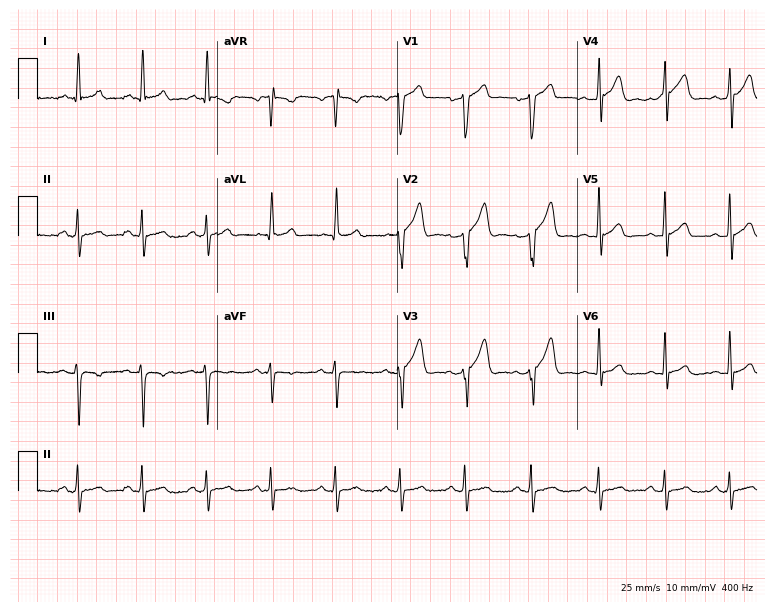
Resting 12-lead electrocardiogram (7.3-second recording at 400 Hz). Patient: a 48-year-old male. None of these six findings is recorded: first-degree AV block, right bundle branch block, left bundle branch block, sinus bradycardia, atrial fibrillation, sinus tachycardia. Only these six findings were labelled.